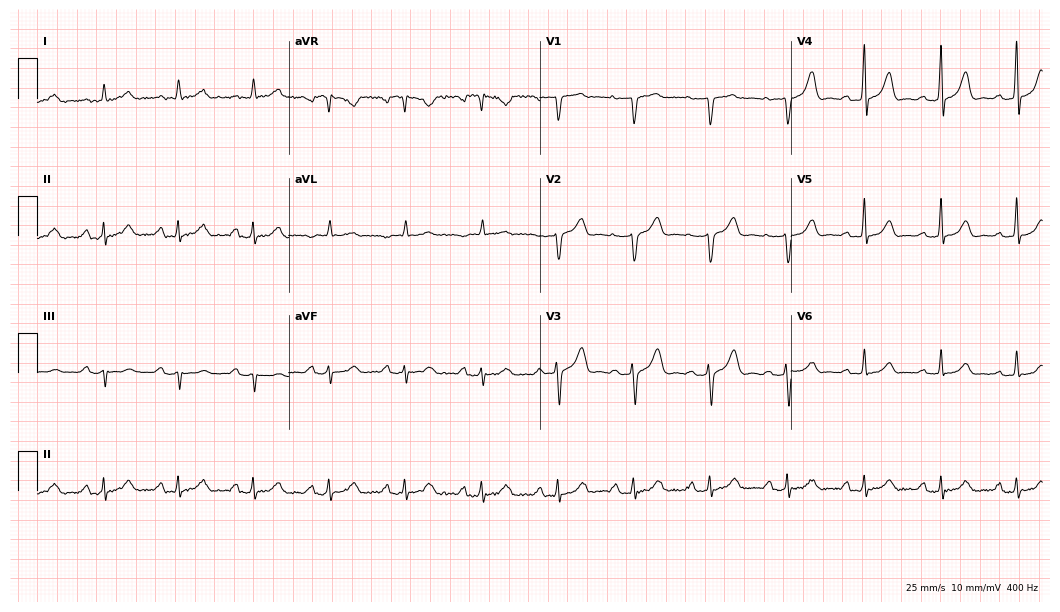
12-lead ECG from a female, 54 years old. Recorded interpretation: within normal limits.